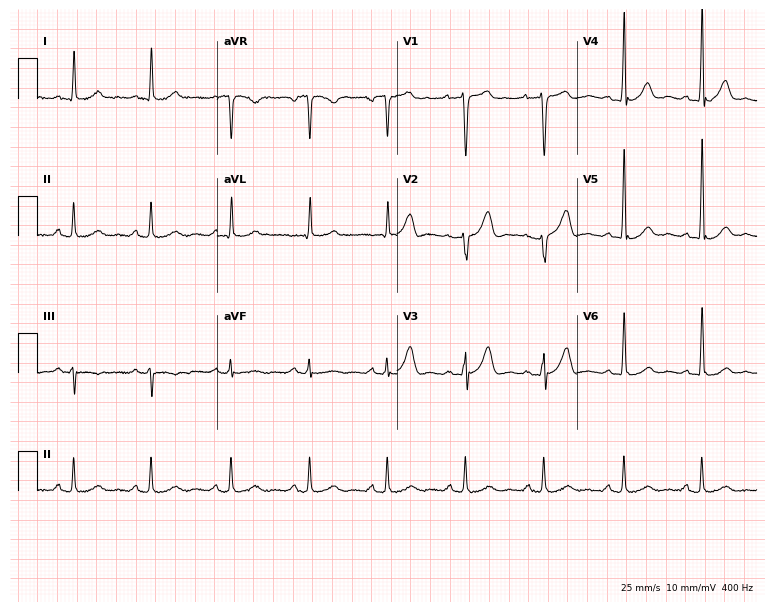
Standard 12-lead ECG recorded from a man, 60 years old (7.3-second recording at 400 Hz). Read as a normal ECG.